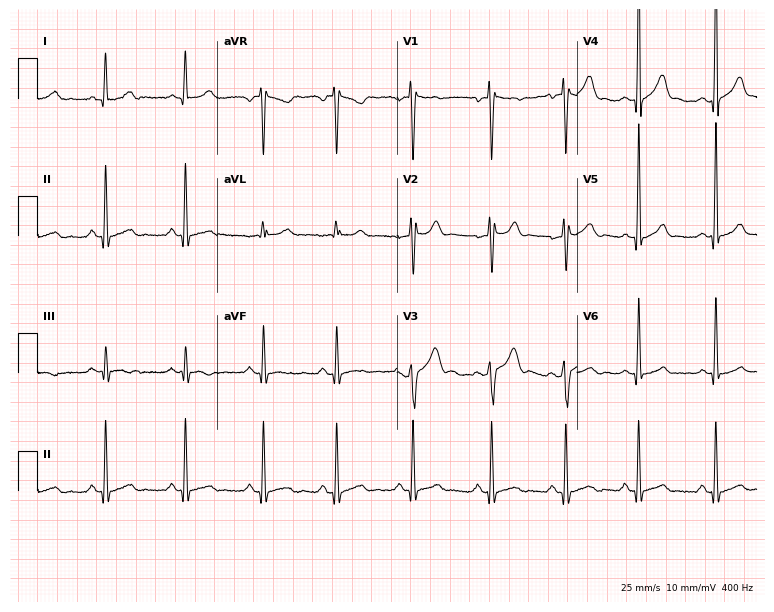
12-lead ECG (7.3-second recording at 400 Hz) from a male patient, 28 years old. Labelled as a normal ECG.